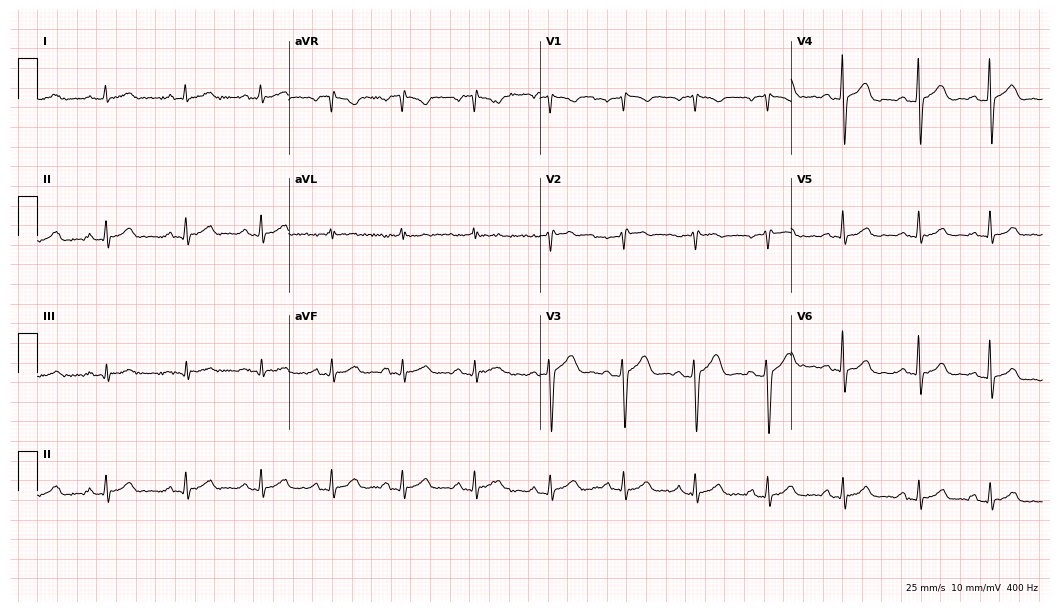
Electrocardiogram (10.2-second recording at 400 Hz), a woman, 53 years old. Of the six screened findings (first-degree AV block, right bundle branch block (RBBB), left bundle branch block (LBBB), sinus bradycardia, atrial fibrillation (AF), sinus tachycardia), none is recorded.